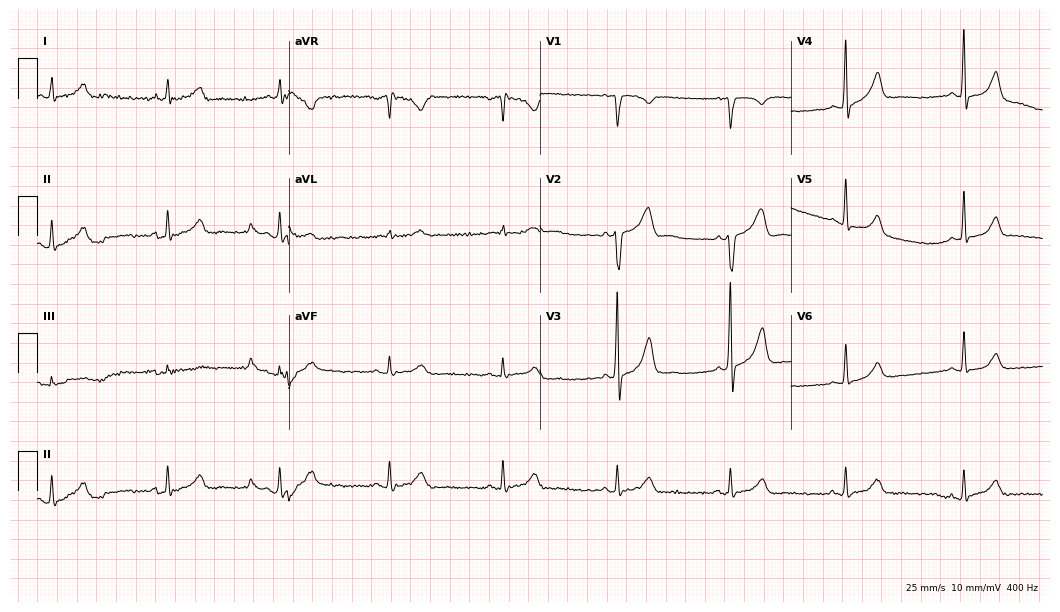
ECG (10.2-second recording at 400 Hz) — a 59-year-old male. Screened for six findings — first-degree AV block, right bundle branch block (RBBB), left bundle branch block (LBBB), sinus bradycardia, atrial fibrillation (AF), sinus tachycardia — none is recorded.